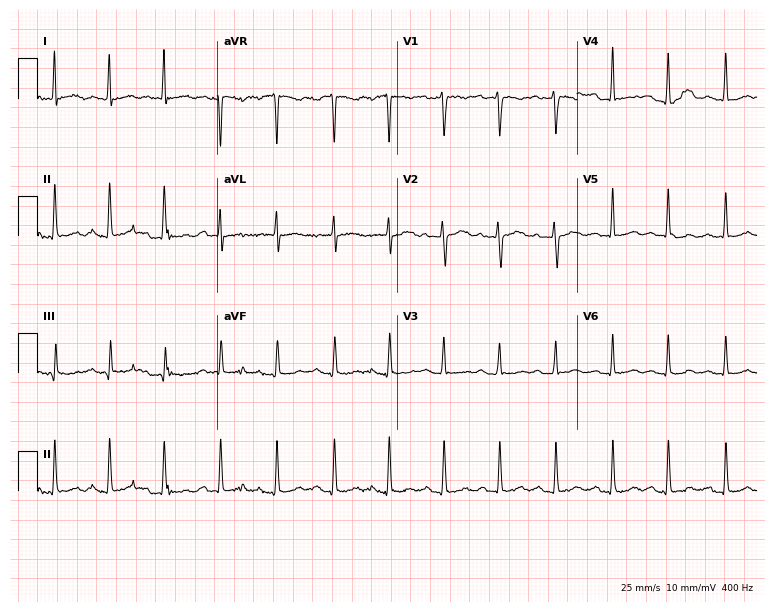
Standard 12-lead ECG recorded from a woman, 31 years old. None of these six findings is recorded: first-degree AV block, right bundle branch block, left bundle branch block, sinus bradycardia, atrial fibrillation, sinus tachycardia. Only these six findings were labelled.